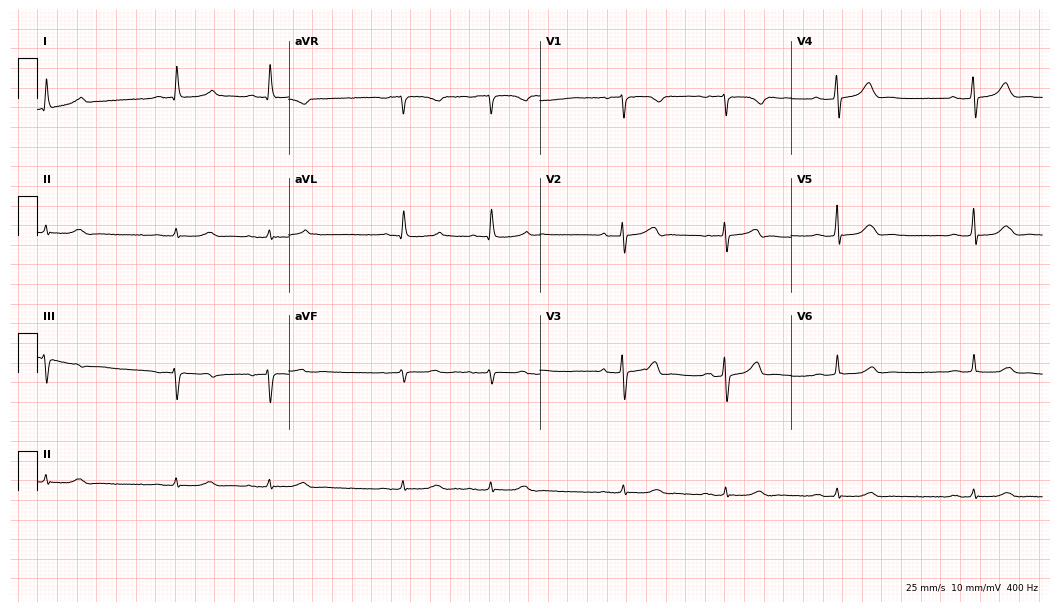
ECG — a 67-year-old female patient. Screened for six findings — first-degree AV block, right bundle branch block, left bundle branch block, sinus bradycardia, atrial fibrillation, sinus tachycardia — none is recorded. Only these six findings were labelled.